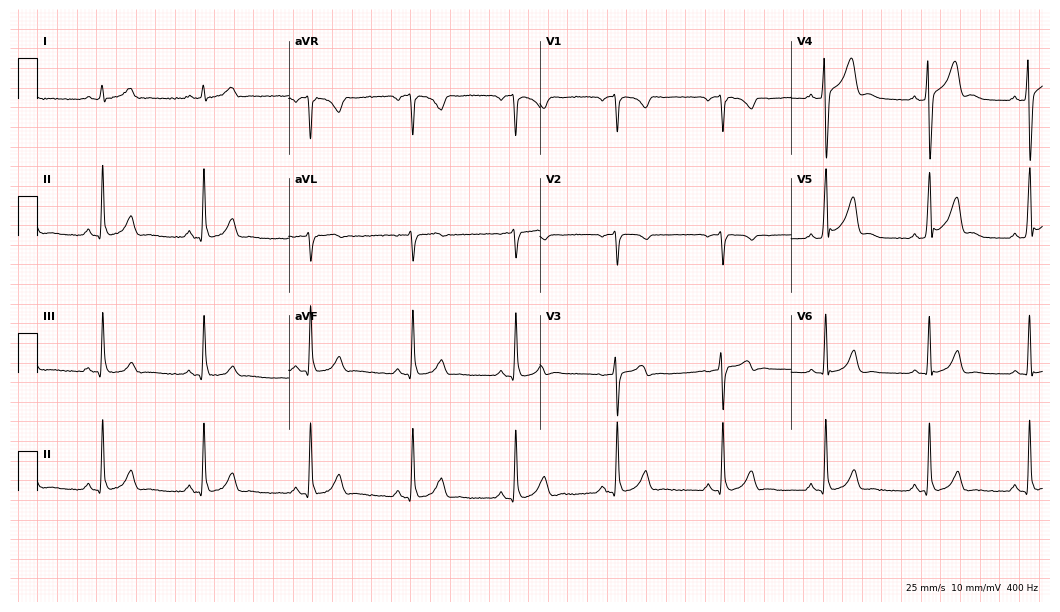
12-lead ECG from a male patient, 42 years old (10.2-second recording at 400 Hz). No first-degree AV block, right bundle branch block (RBBB), left bundle branch block (LBBB), sinus bradycardia, atrial fibrillation (AF) or sinus tachycardia recorded for this tracing. Findings outside these six are not listed.